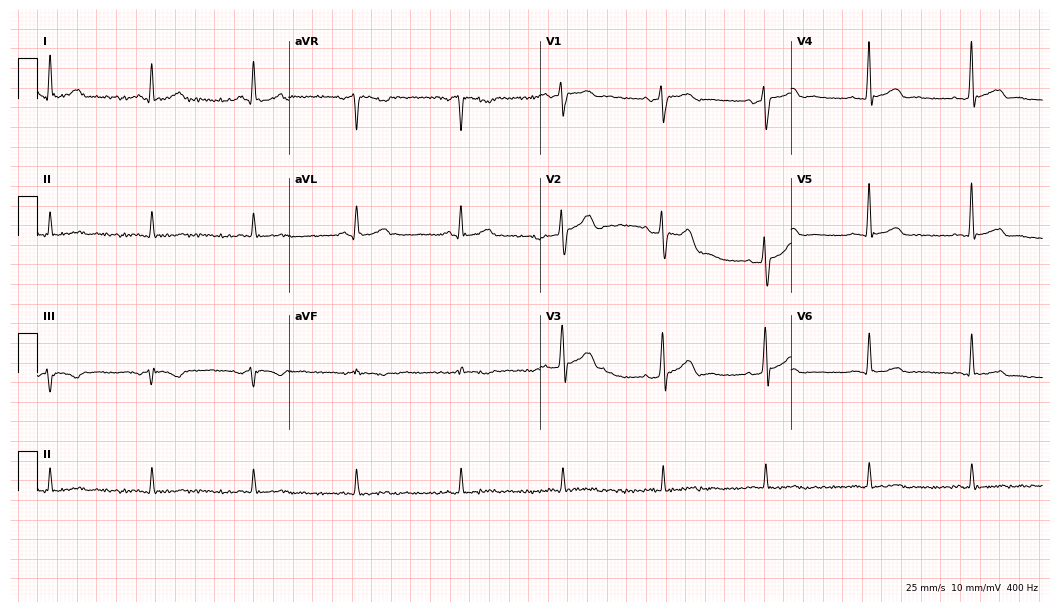
Electrocardiogram, a 59-year-old male patient. Overall reading on record: normal ECG.